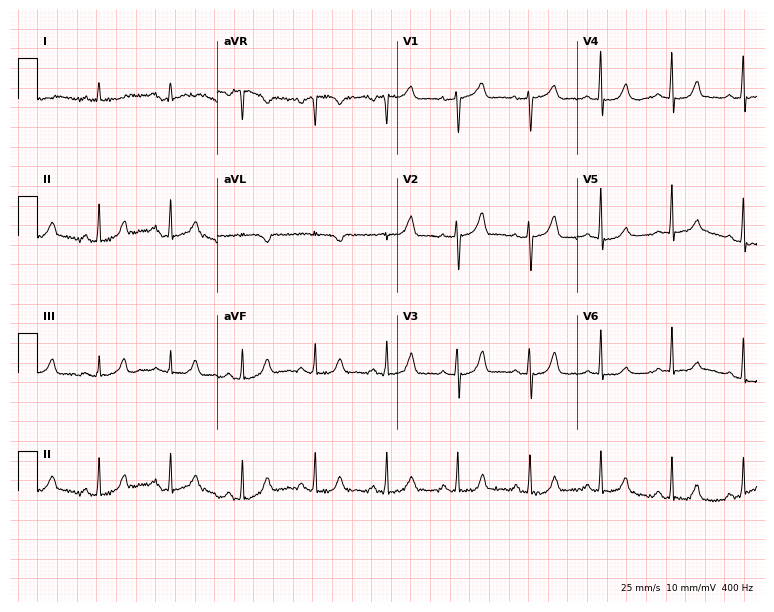
12-lead ECG from a 71-year-old female. Labelled as a normal ECG.